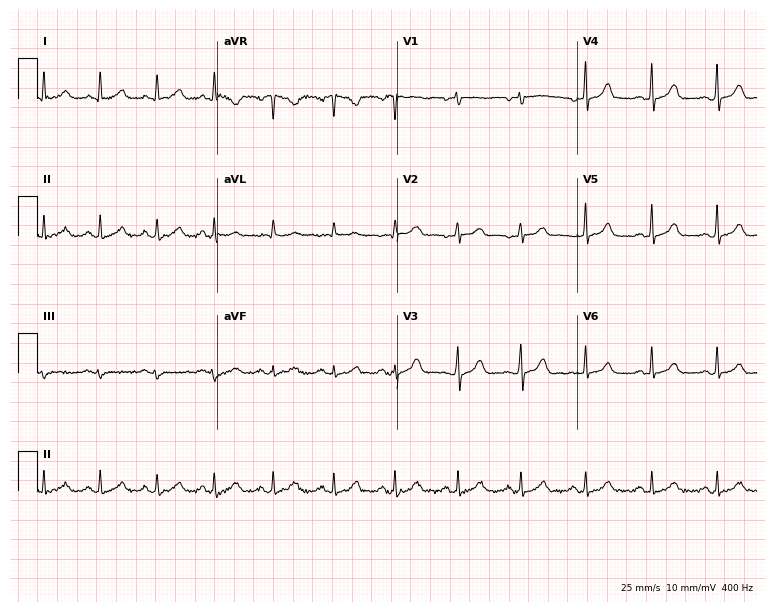
12-lead ECG from a female, 38 years old. Labelled as a normal ECG.